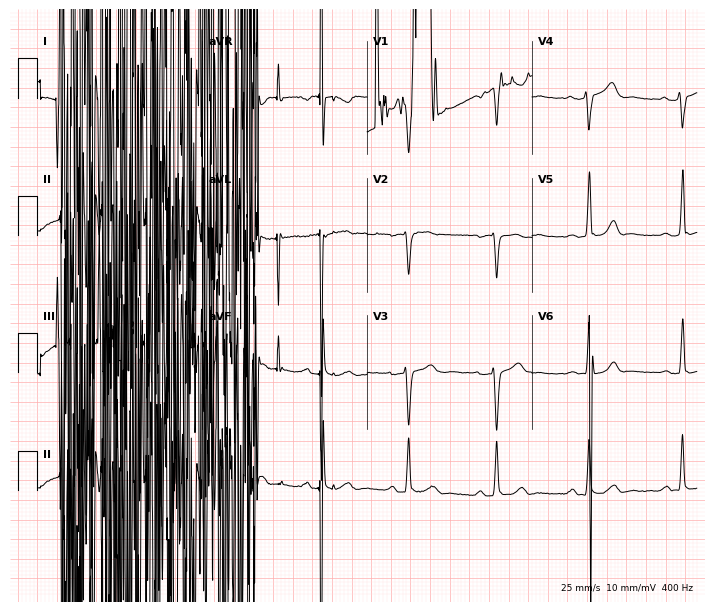
Electrocardiogram (6.7-second recording at 400 Hz), a 44-year-old female. Of the six screened findings (first-degree AV block, right bundle branch block, left bundle branch block, sinus bradycardia, atrial fibrillation, sinus tachycardia), none is recorded.